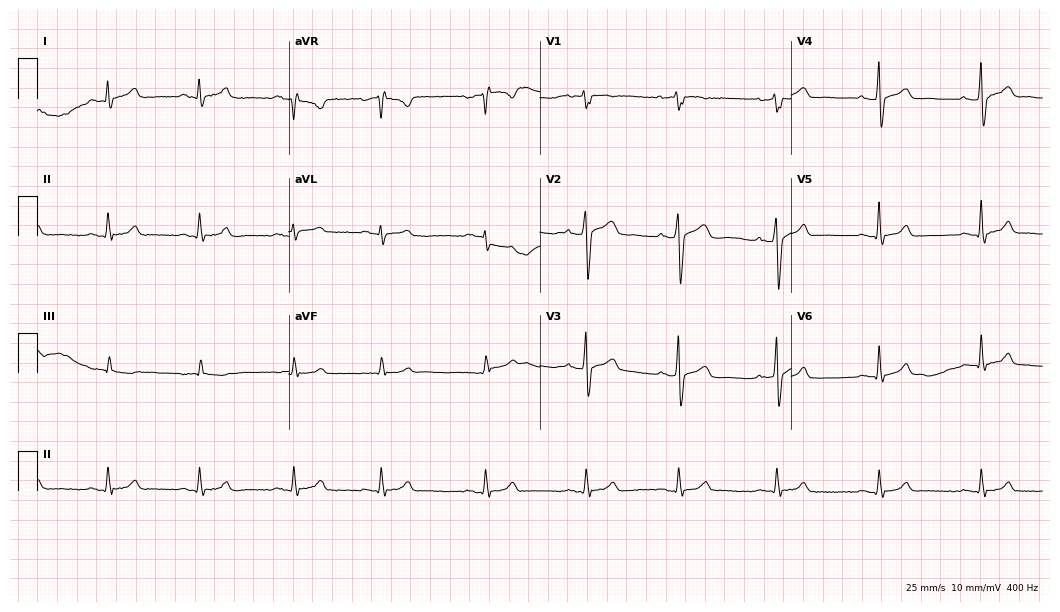
Standard 12-lead ECG recorded from a male, 37 years old. Read as a normal ECG.